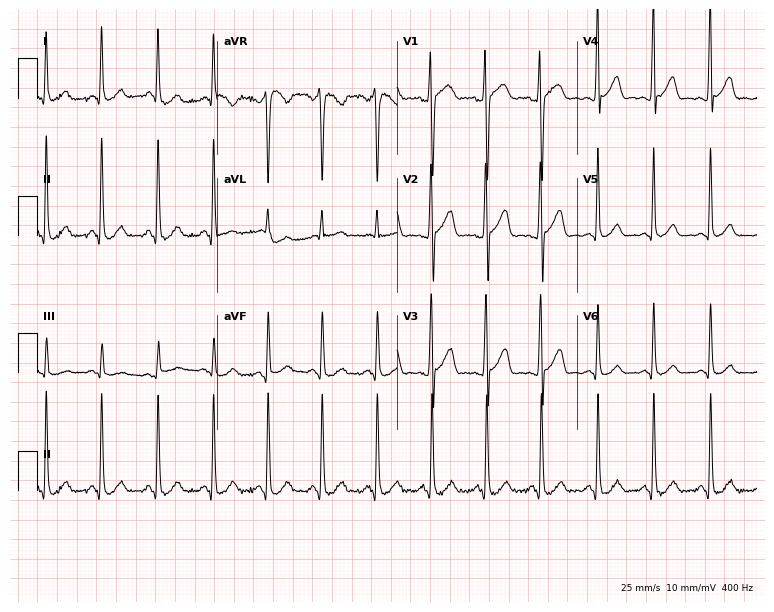
12-lead ECG from a woman, 25 years old. Findings include sinus tachycardia (a sinus rate of 100 beats per minute or more).